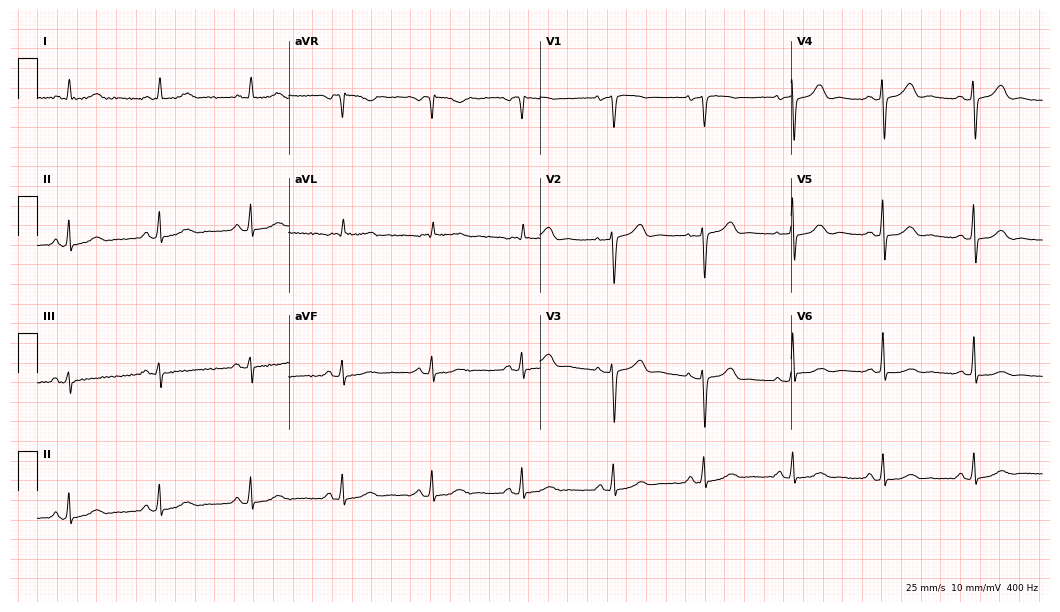
Electrocardiogram (10.2-second recording at 400 Hz), an 80-year-old male patient. Overall reading on record: normal ECG.